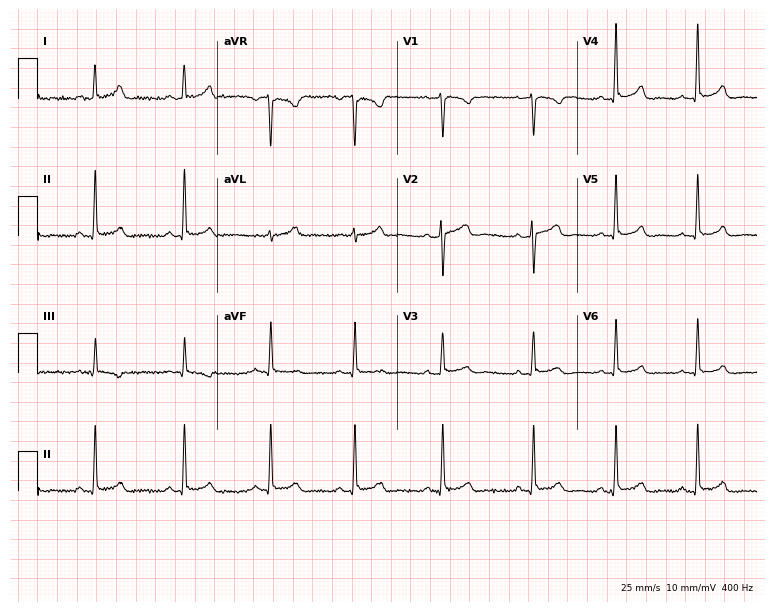
Standard 12-lead ECG recorded from a 40-year-old woman (7.3-second recording at 400 Hz). None of these six findings is recorded: first-degree AV block, right bundle branch block, left bundle branch block, sinus bradycardia, atrial fibrillation, sinus tachycardia.